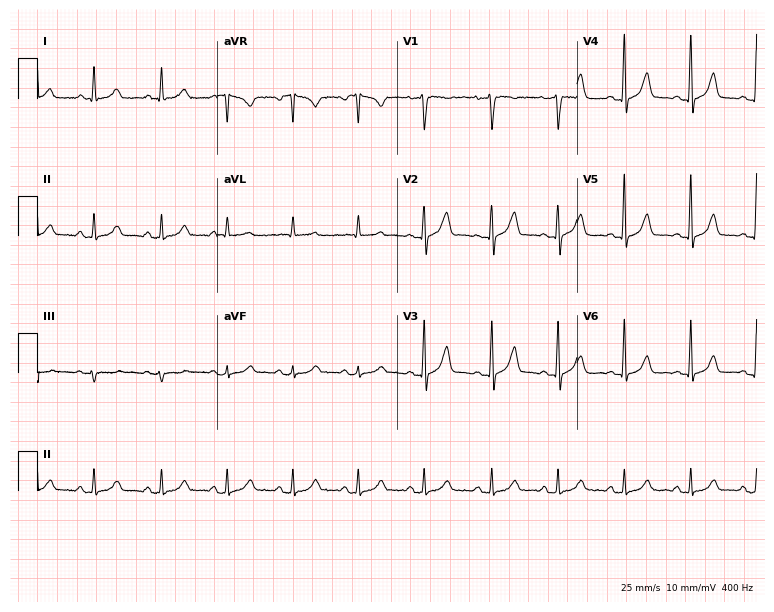
ECG (7.3-second recording at 400 Hz) — a female patient, 47 years old. Labelled as a normal ECG.